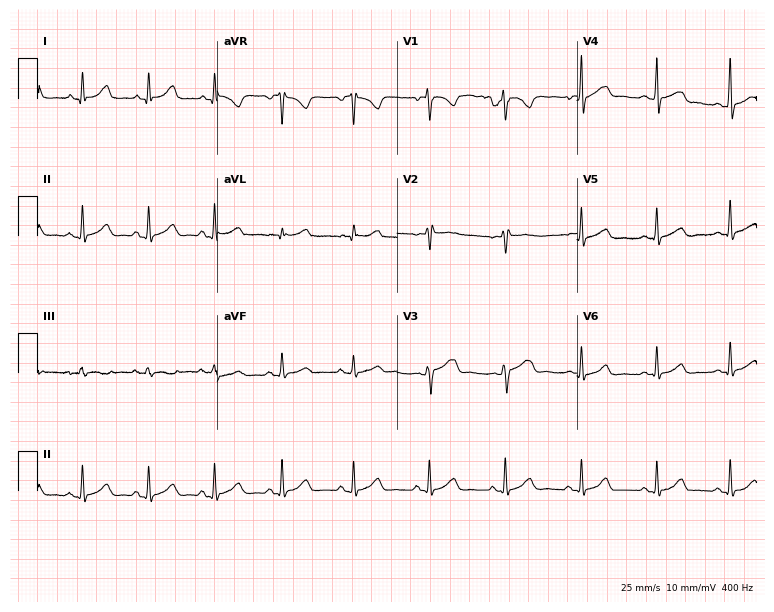
ECG — a male patient, 18 years old. Labelled as a normal ECG.